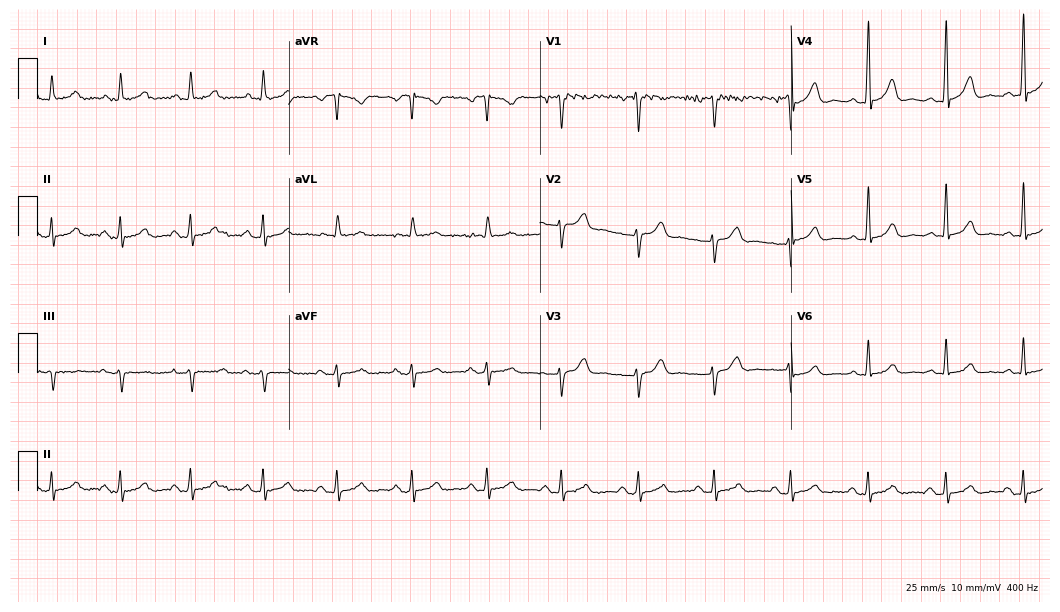
Resting 12-lead electrocardiogram. Patient: a man, 47 years old. None of these six findings is recorded: first-degree AV block, right bundle branch block (RBBB), left bundle branch block (LBBB), sinus bradycardia, atrial fibrillation (AF), sinus tachycardia. Only these six findings were labelled.